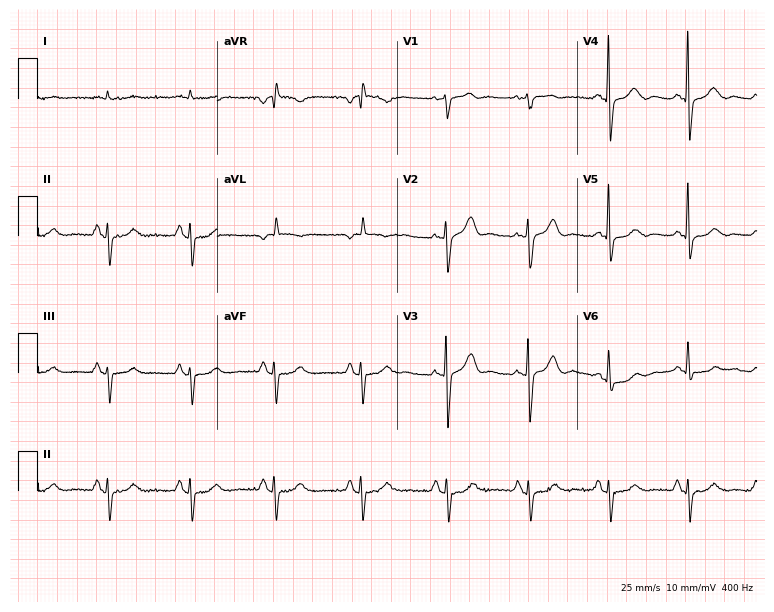
Resting 12-lead electrocardiogram. Patient: a male, 69 years old. None of these six findings is recorded: first-degree AV block, right bundle branch block, left bundle branch block, sinus bradycardia, atrial fibrillation, sinus tachycardia.